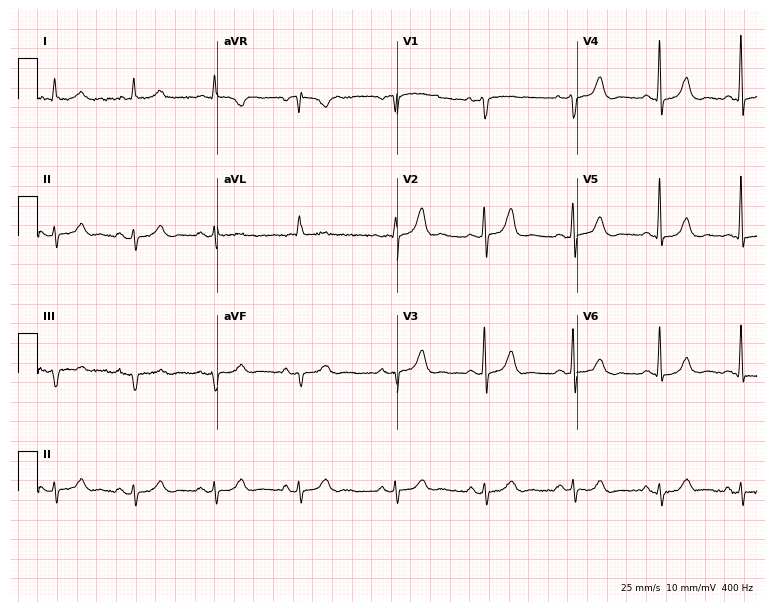
Electrocardiogram, a woman, 83 years old. Of the six screened findings (first-degree AV block, right bundle branch block (RBBB), left bundle branch block (LBBB), sinus bradycardia, atrial fibrillation (AF), sinus tachycardia), none is recorded. Other findings, if any, are not listed.